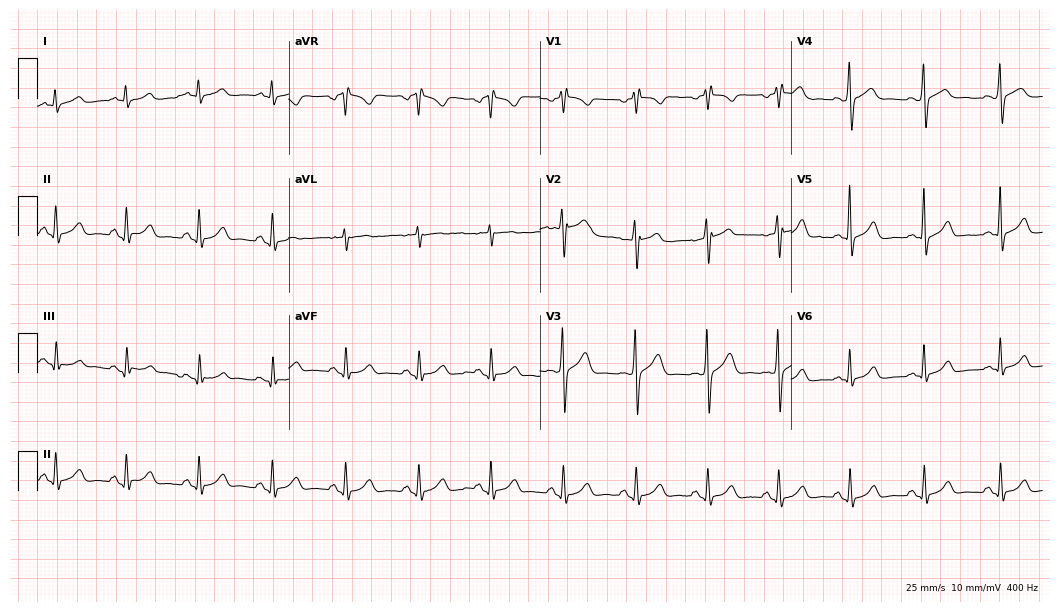
Resting 12-lead electrocardiogram (10.2-second recording at 400 Hz). Patient: a 38-year-old woman. None of these six findings is recorded: first-degree AV block, right bundle branch block, left bundle branch block, sinus bradycardia, atrial fibrillation, sinus tachycardia.